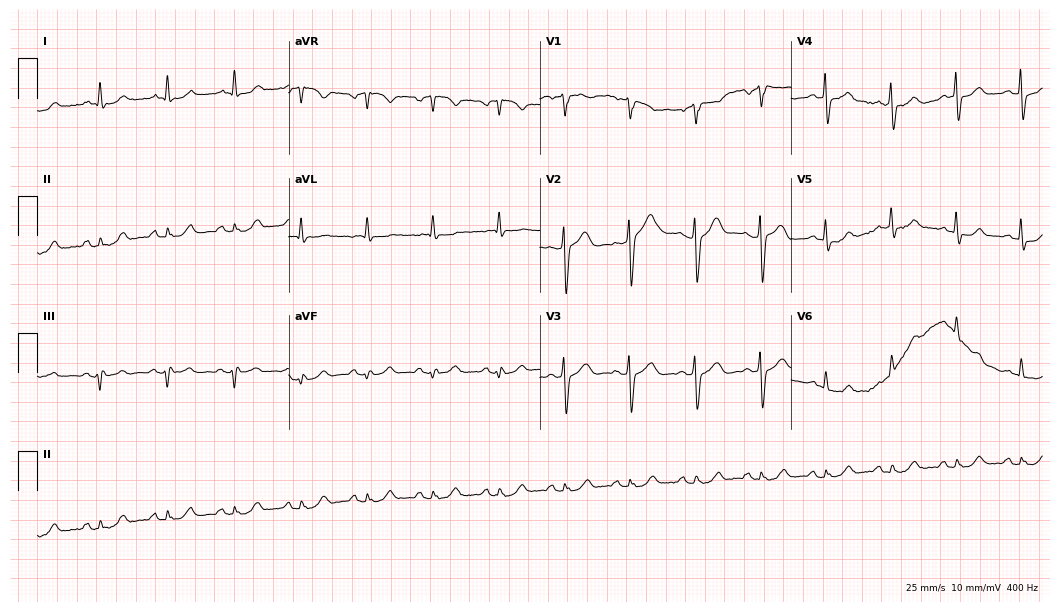
Electrocardiogram (10.2-second recording at 400 Hz), a 67-year-old male patient. Overall reading on record: normal ECG.